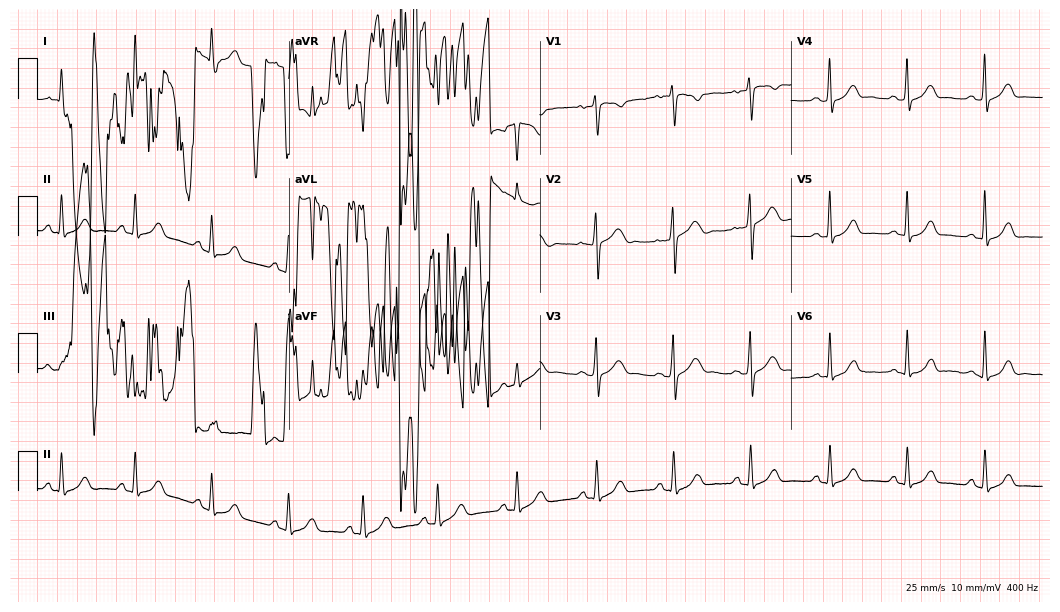
Resting 12-lead electrocardiogram (10.2-second recording at 400 Hz). Patient: a female, 37 years old. None of these six findings is recorded: first-degree AV block, right bundle branch block, left bundle branch block, sinus bradycardia, atrial fibrillation, sinus tachycardia.